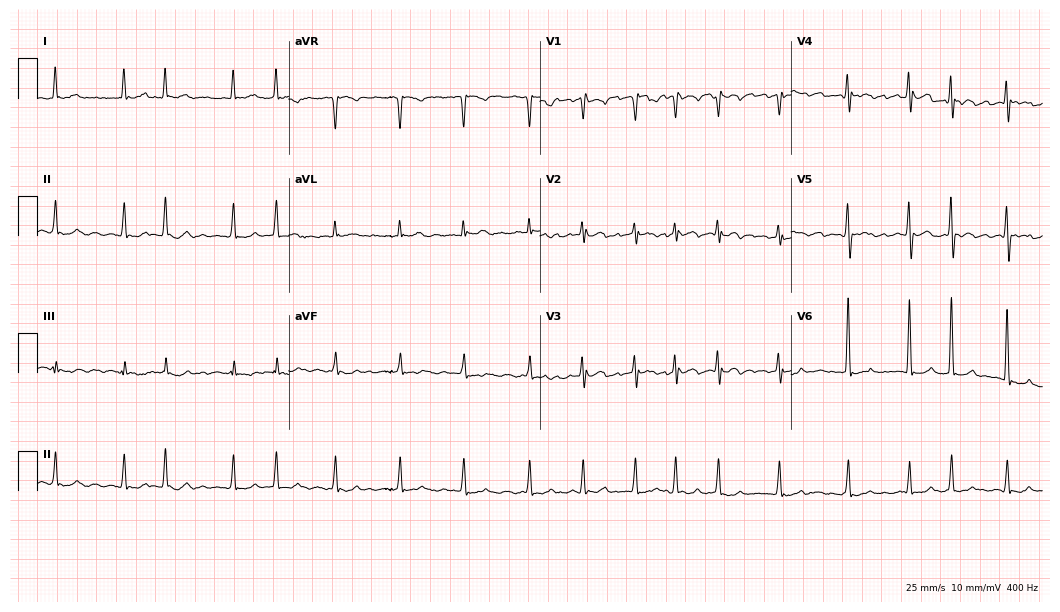
ECG (10.2-second recording at 400 Hz) — a 59-year-old female patient. Findings include atrial fibrillation.